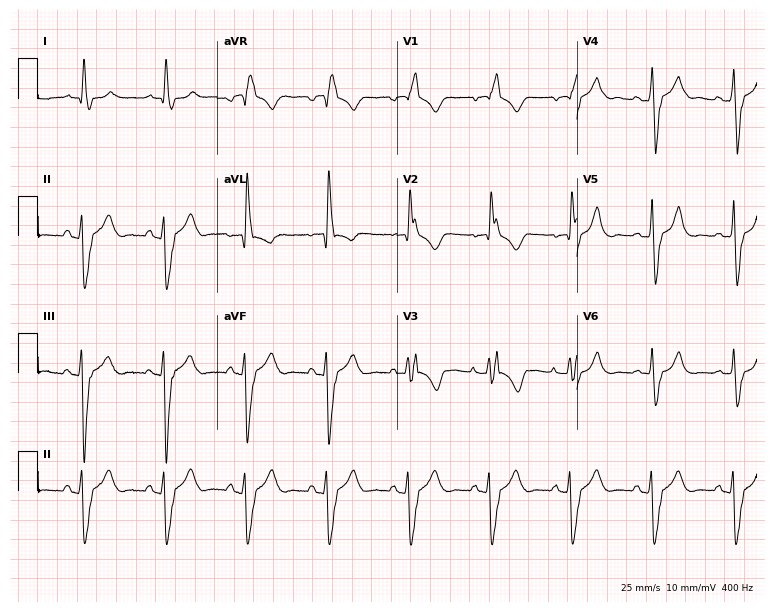
Standard 12-lead ECG recorded from a 46-year-old female. The tracing shows right bundle branch block (RBBB).